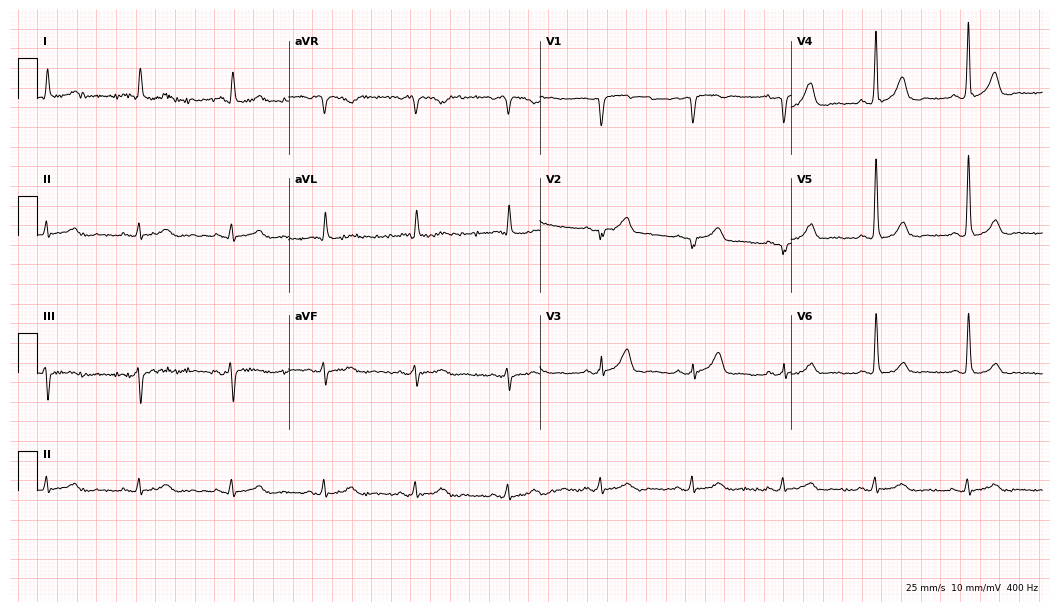
12-lead ECG from a male, 84 years old. No first-degree AV block, right bundle branch block (RBBB), left bundle branch block (LBBB), sinus bradycardia, atrial fibrillation (AF) or sinus tachycardia recorded for this tracing.